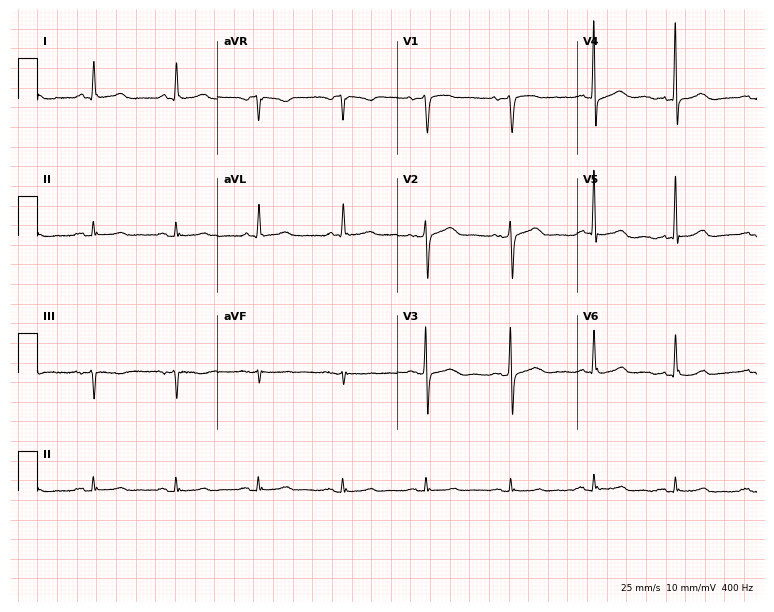
Resting 12-lead electrocardiogram (7.3-second recording at 400 Hz). Patient: a female, 74 years old. Read as a normal ECG.